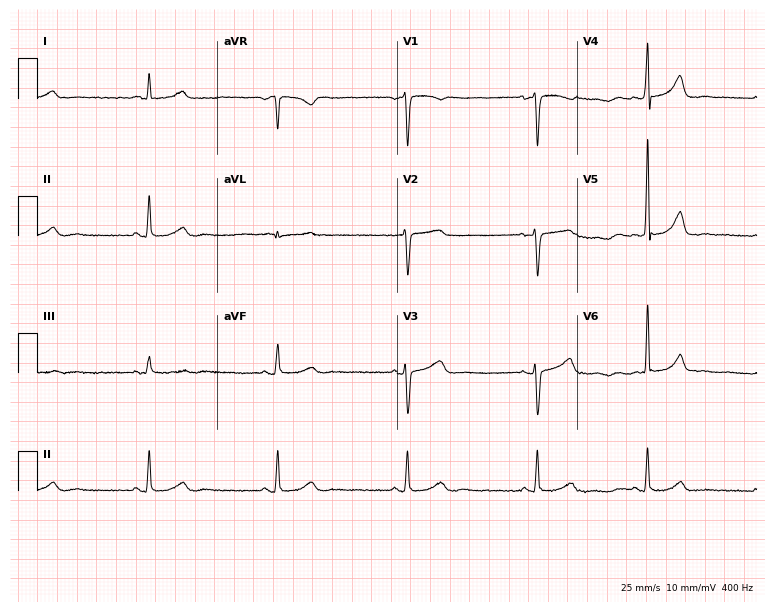
12-lead ECG from a 50-year-old woman. Shows sinus bradycardia (a sinus rate of 50 beats per minute or less).